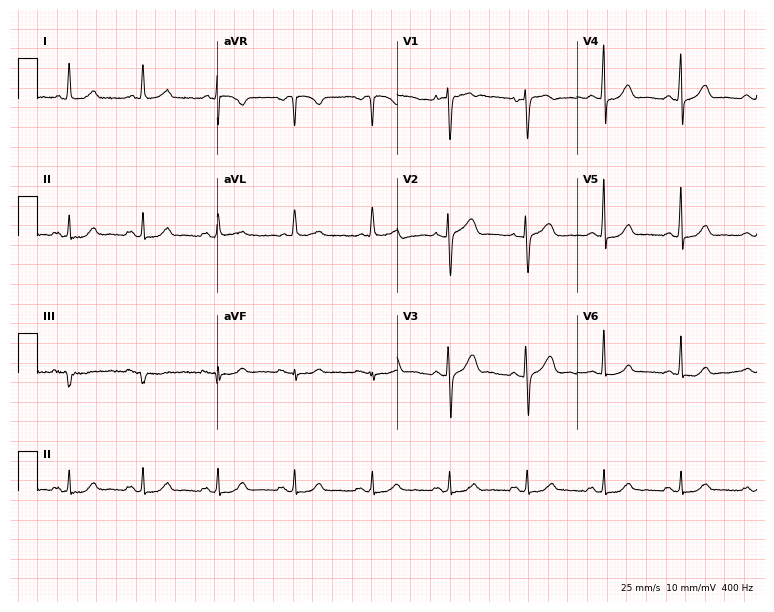
12-lead ECG from a 71-year-old female. Recorded interpretation: within normal limits.